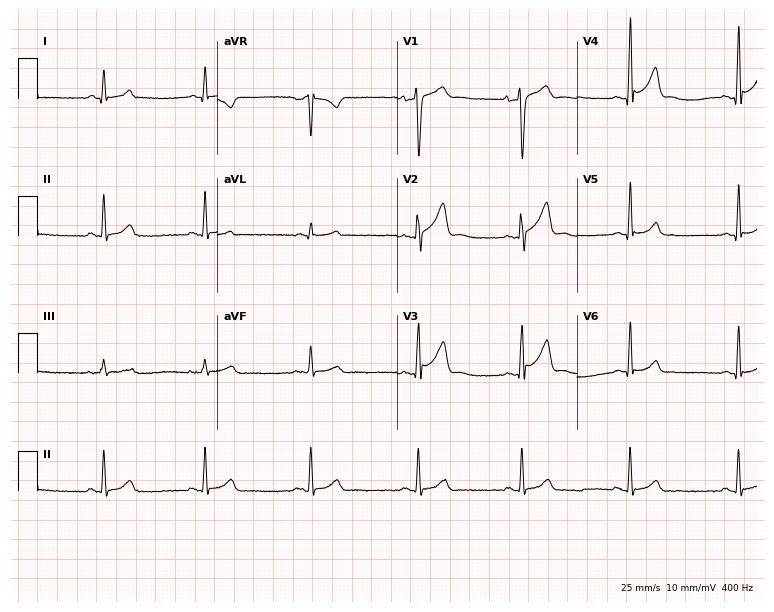
Electrocardiogram (7.3-second recording at 400 Hz), a 25-year-old male patient. Overall reading on record: normal ECG.